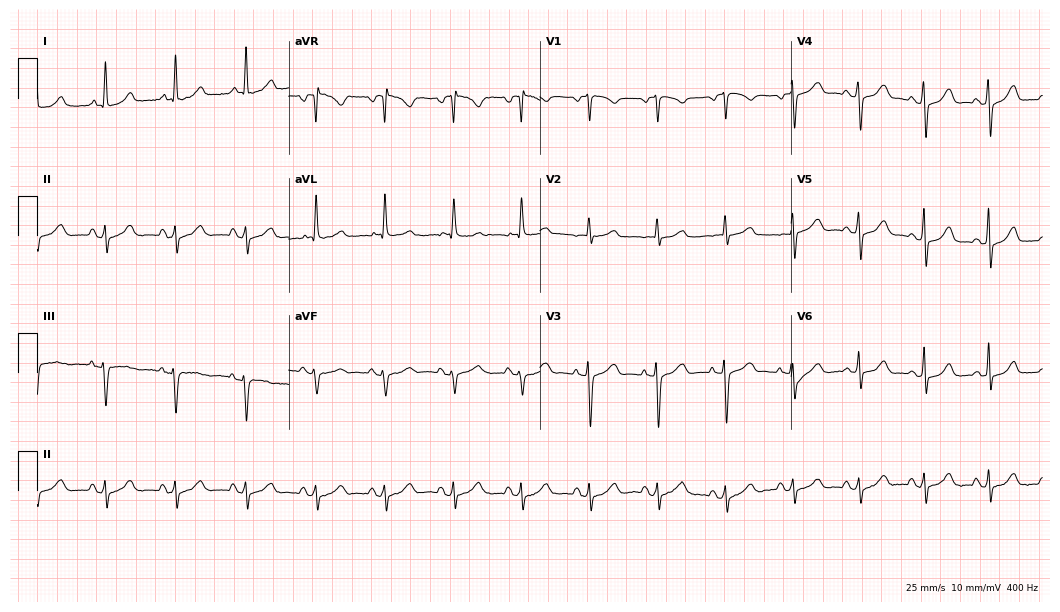
Standard 12-lead ECG recorded from a 64-year-old female (10.2-second recording at 400 Hz). None of these six findings is recorded: first-degree AV block, right bundle branch block, left bundle branch block, sinus bradycardia, atrial fibrillation, sinus tachycardia.